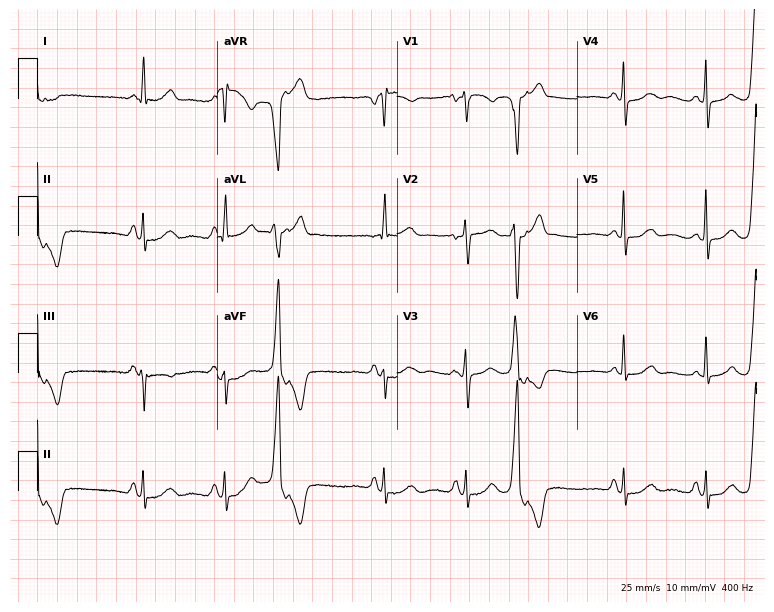
12-lead ECG from a 64-year-old female (7.3-second recording at 400 Hz). No first-degree AV block, right bundle branch block (RBBB), left bundle branch block (LBBB), sinus bradycardia, atrial fibrillation (AF) or sinus tachycardia recorded for this tracing. Other findings, if any, are not listed.